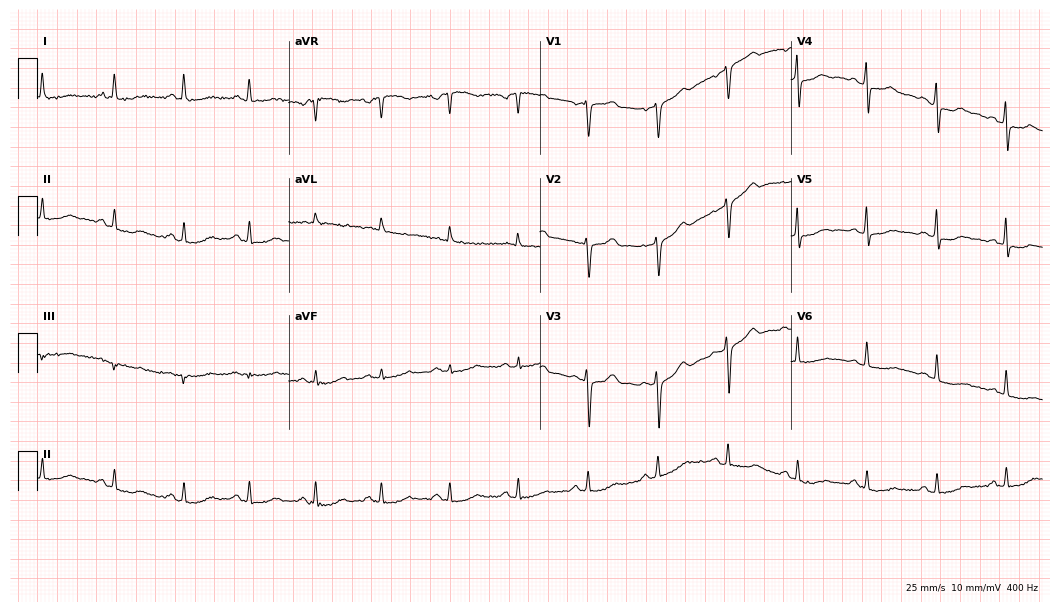
12-lead ECG from a female patient, 48 years old. Screened for six findings — first-degree AV block, right bundle branch block, left bundle branch block, sinus bradycardia, atrial fibrillation, sinus tachycardia — none is recorded.